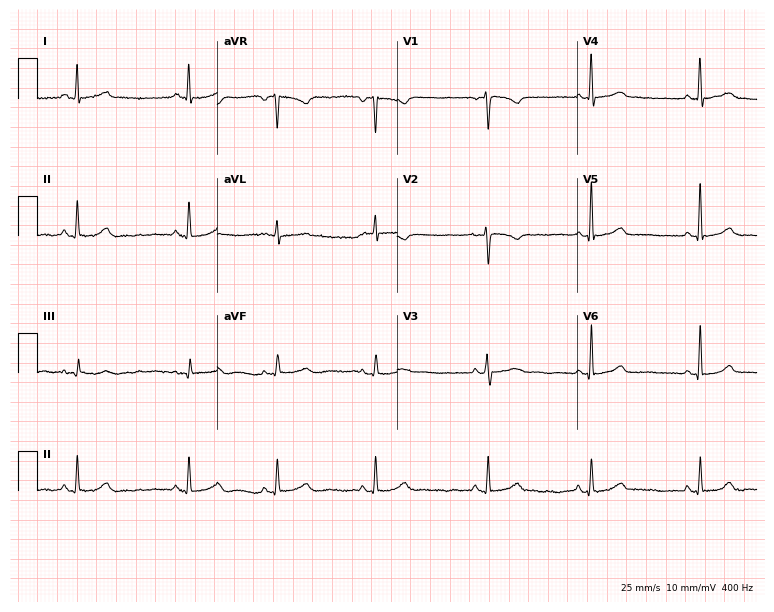
Electrocardiogram (7.3-second recording at 400 Hz), a woman, 26 years old. Of the six screened findings (first-degree AV block, right bundle branch block (RBBB), left bundle branch block (LBBB), sinus bradycardia, atrial fibrillation (AF), sinus tachycardia), none is recorded. Other findings, if any, are not listed.